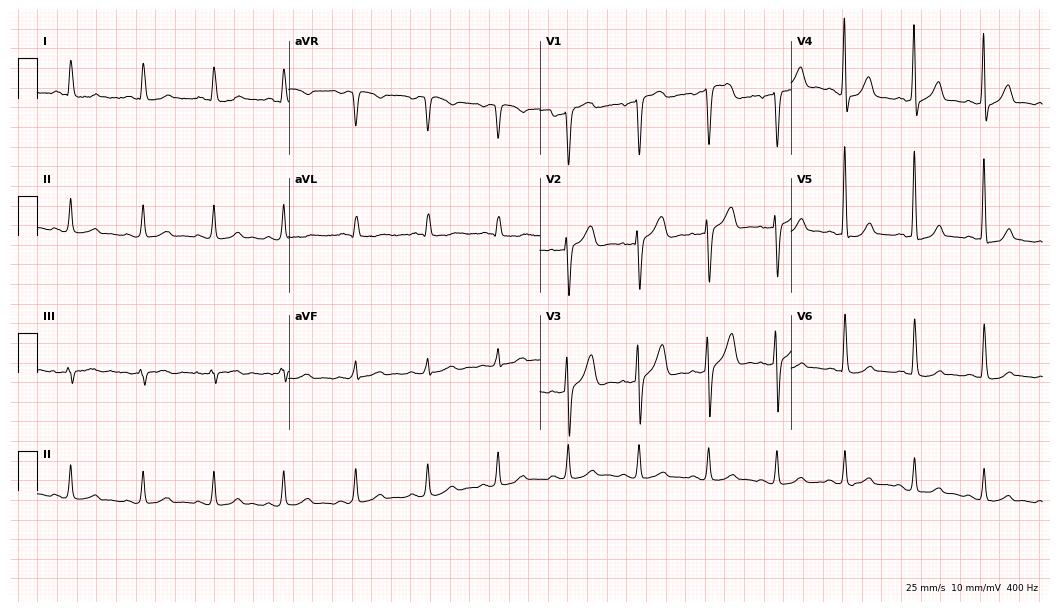
ECG — a male patient, 50 years old. Labelled as a normal ECG.